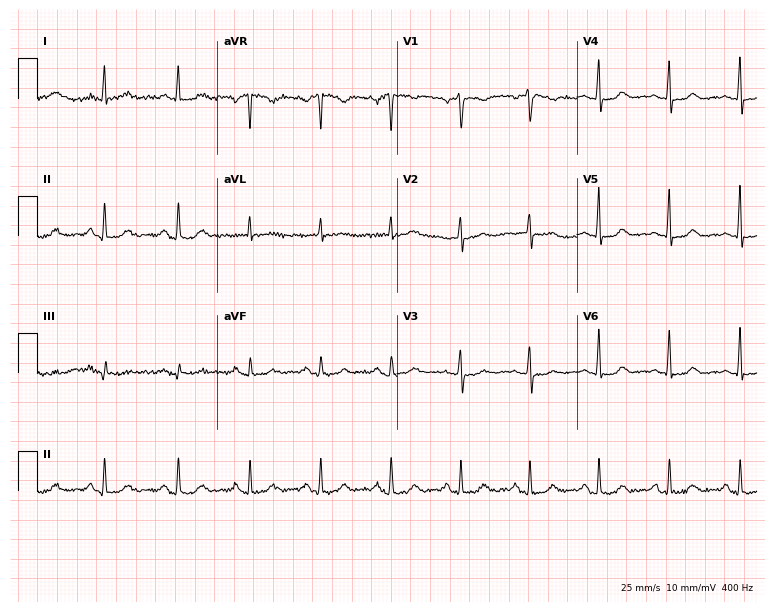
ECG — a female patient, 65 years old. Labelled as a normal ECG.